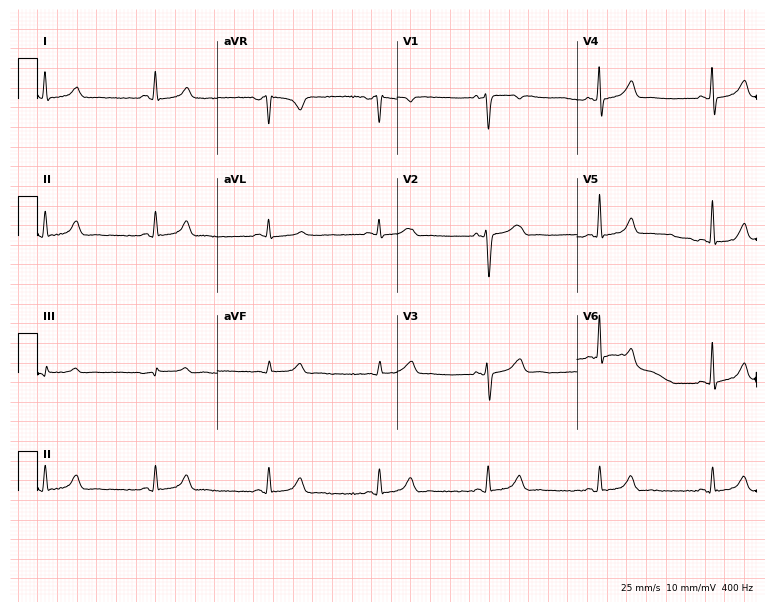
ECG — a 49-year-old woman. Screened for six findings — first-degree AV block, right bundle branch block (RBBB), left bundle branch block (LBBB), sinus bradycardia, atrial fibrillation (AF), sinus tachycardia — none is recorded.